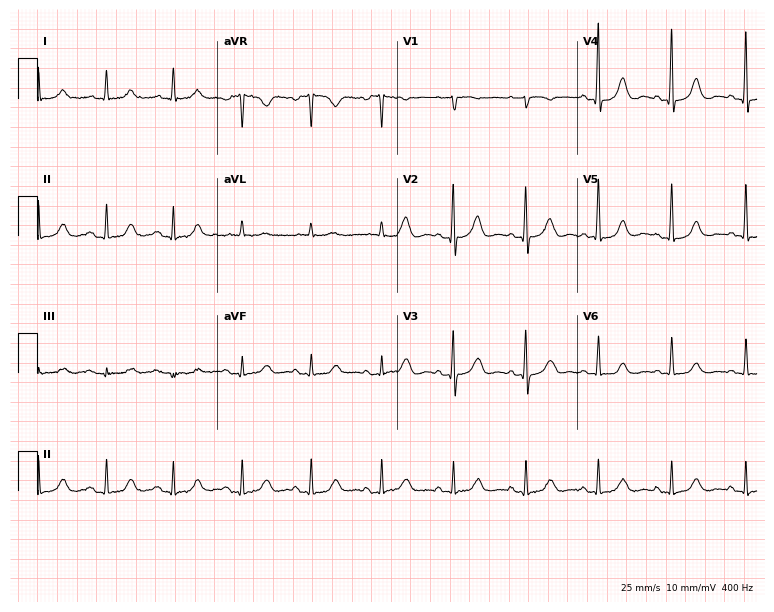
12-lead ECG (7.3-second recording at 400 Hz) from a 77-year-old female. Labelled as a normal ECG.